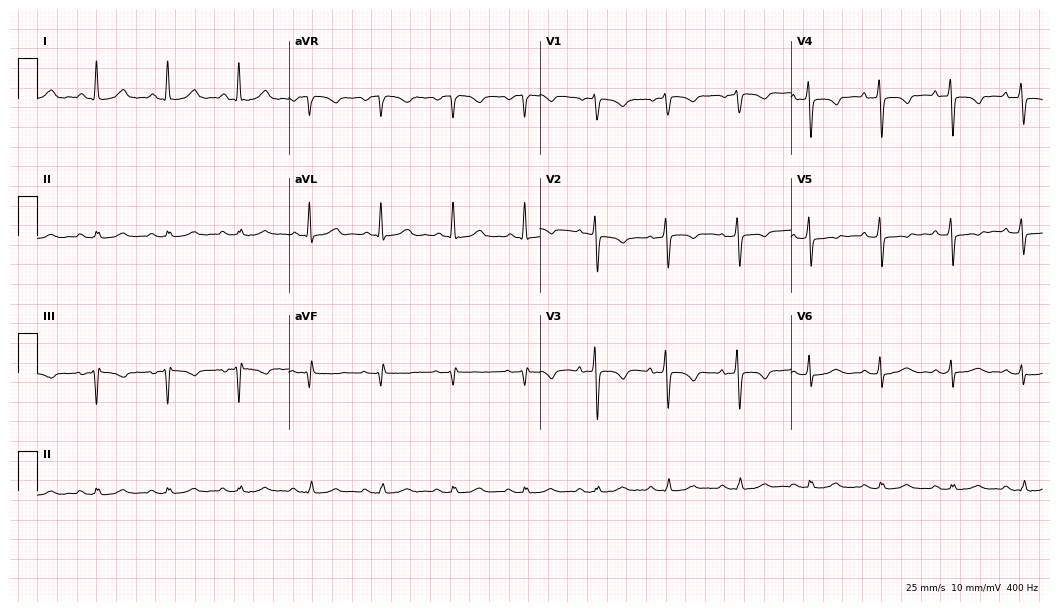
Standard 12-lead ECG recorded from a female patient, 78 years old. None of these six findings is recorded: first-degree AV block, right bundle branch block, left bundle branch block, sinus bradycardia, atrial fibrillation, sinus tachycardia.